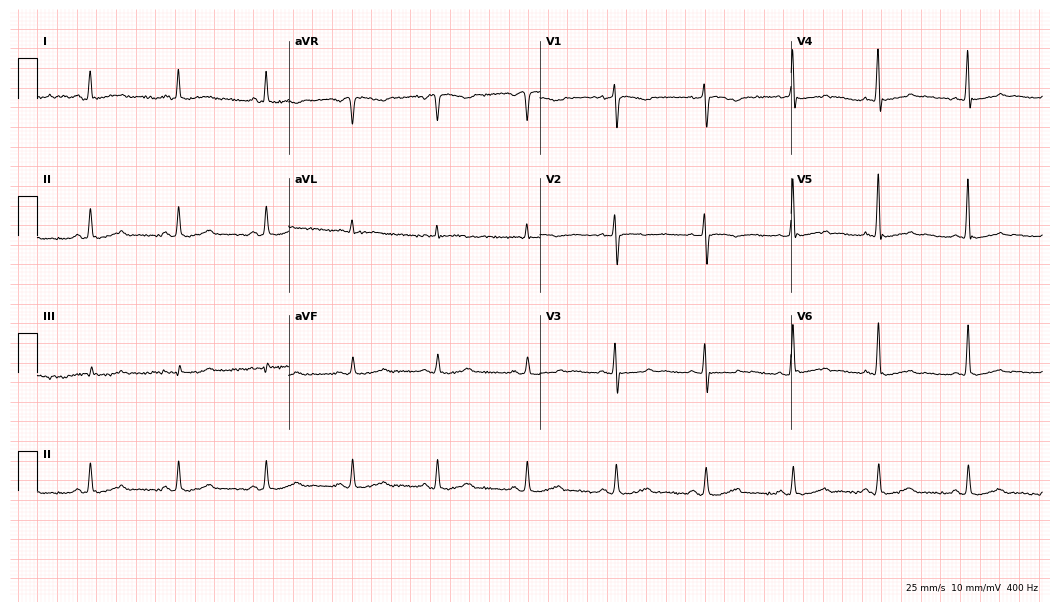
Electrocardiogram (10.2-second recording at 400 Hz), a female patient, 54 years old. Overall reading on record: normal ECG.